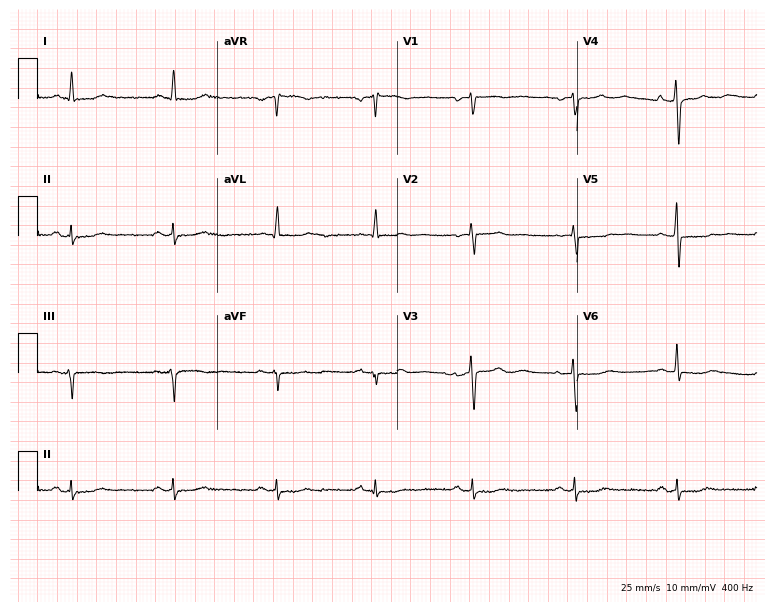
Electrocardiogram, a woman, 65 years old. Of the six screened findings (first-degree AV block, right bundle branch block (RBBB), left bundle branch block (LBBB), sinus bradycardia, atrial fibrillation (AF), sinus tachycardia), none is recorded. Only these six findings were labelled.